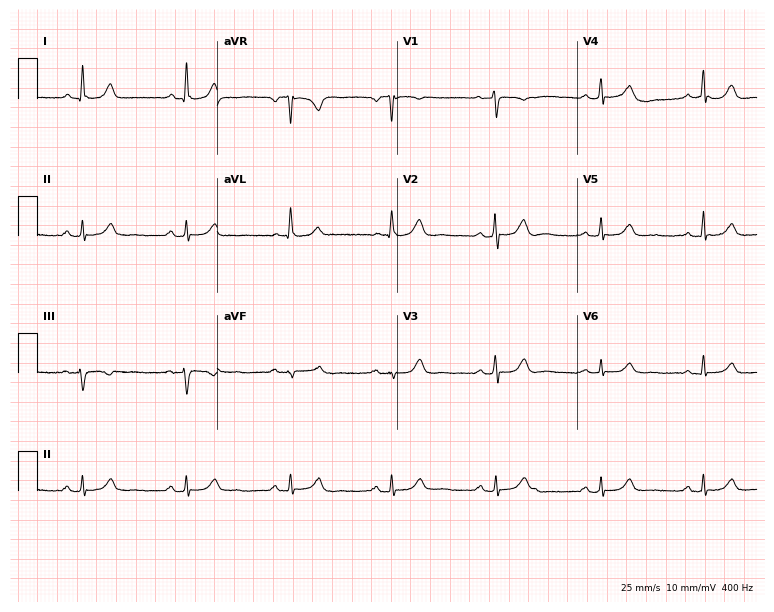
ECG — a 64-year-old female patient. Labelled as a normal ECG.